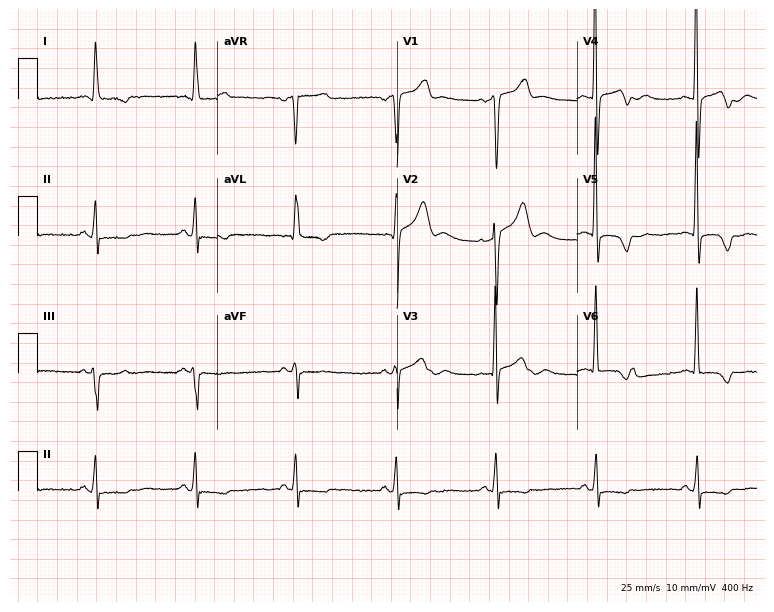
ECG (7.3-second recording at 400 Hz) — a man, 71 years old. Screened for six findings — first-degree AV block, right bundle branch block, left bundle branch block, sinus bradycardia, atrial fibrillation, sinus tachycardia — none is recorded.